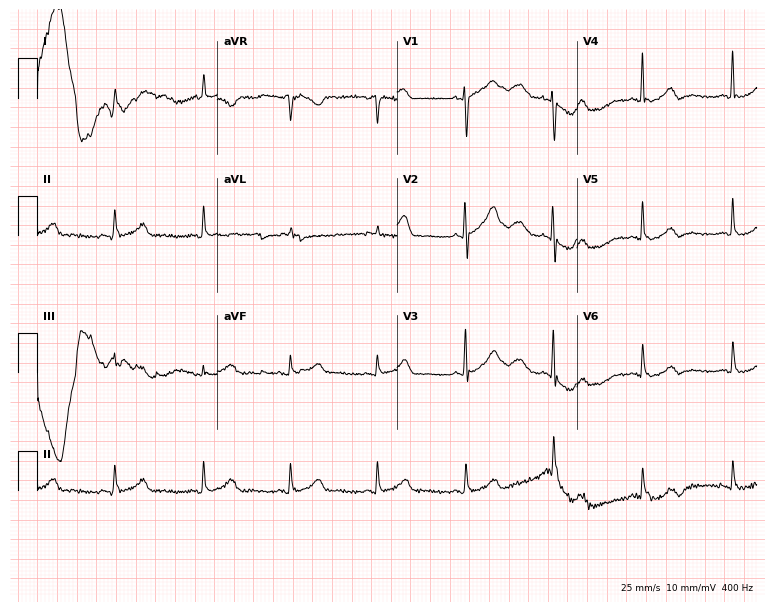
12-lead ECG from a female, 78 years old. Labelled as a normal ECG.